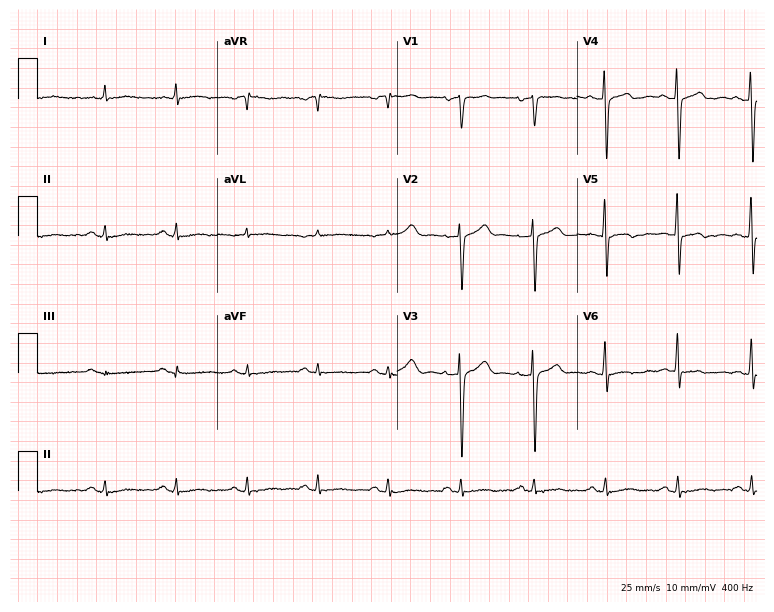
Electrocardiogram, a 57-year-old man. Of the six screened findings (first-degree AV block, right bundle branch block (RBBB), left bundle branch block (LBBB), sinus bradycardia, atrial fibrillation (AF), sinus tachycardia), none is recorded.